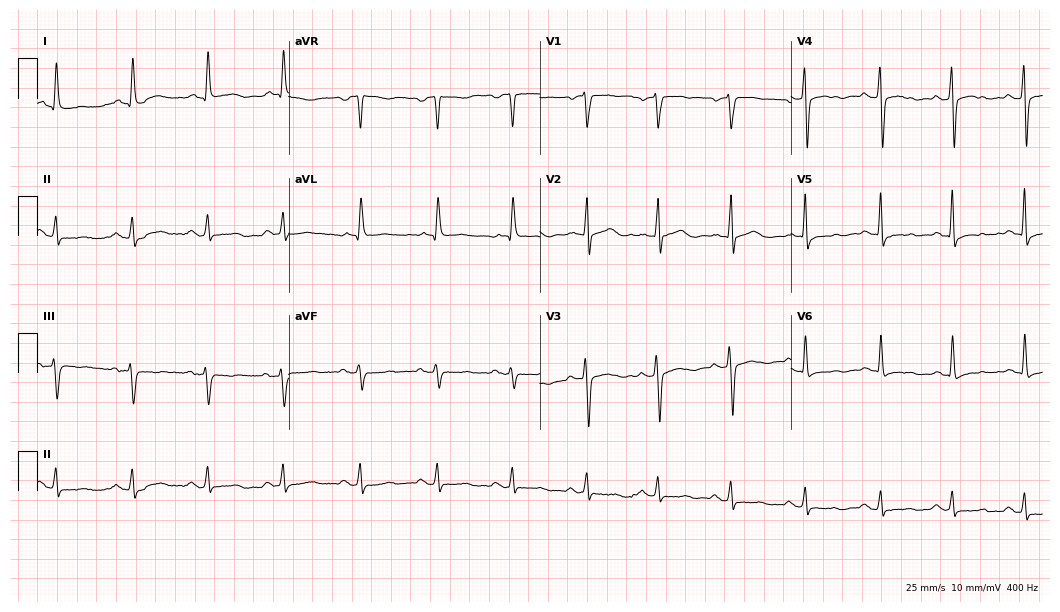
Standard 12-lead ECG recorded from a male patient, 72 years old (10.2-second recording at 400 Hz). None of these six findings is recorded: first-degree AV block, right bundle branch block, left bundle branch block, sinus bradycardia, atrial fibrillation, sinus tachycardia. Findings outside these six are not listed.